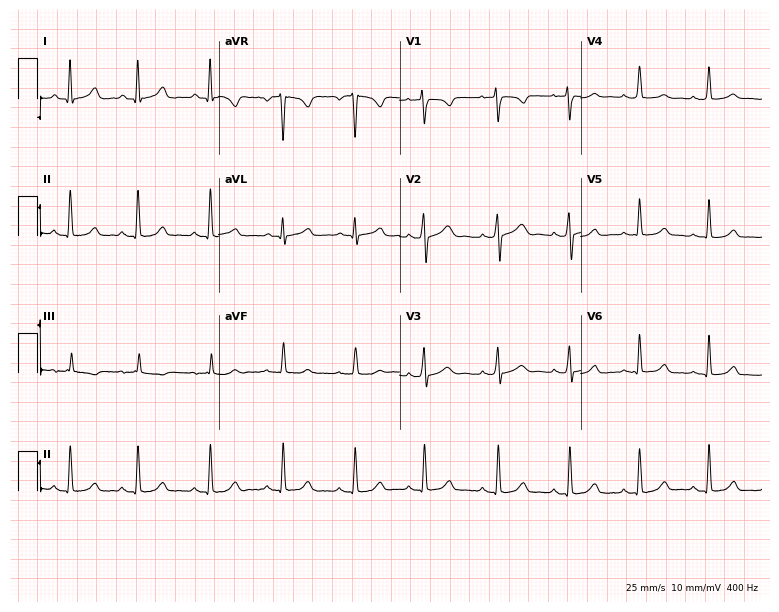
Resting 12-lead electrocardiogram (7.4-second recording at 400 Hz). Patient: a 17-year-old female. None of these six findings is recorded: first-degree AV block, right bundle branch block, left bundle branch block, sinus bradycardia, atrial fibrillation, sinus tachycardia.